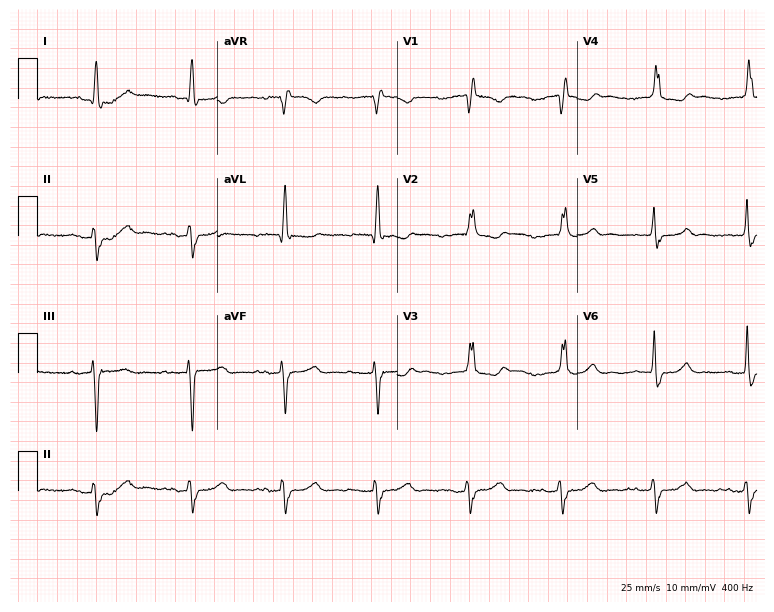
ECG — a female, 71 years old. Findings include right bundle branch block.